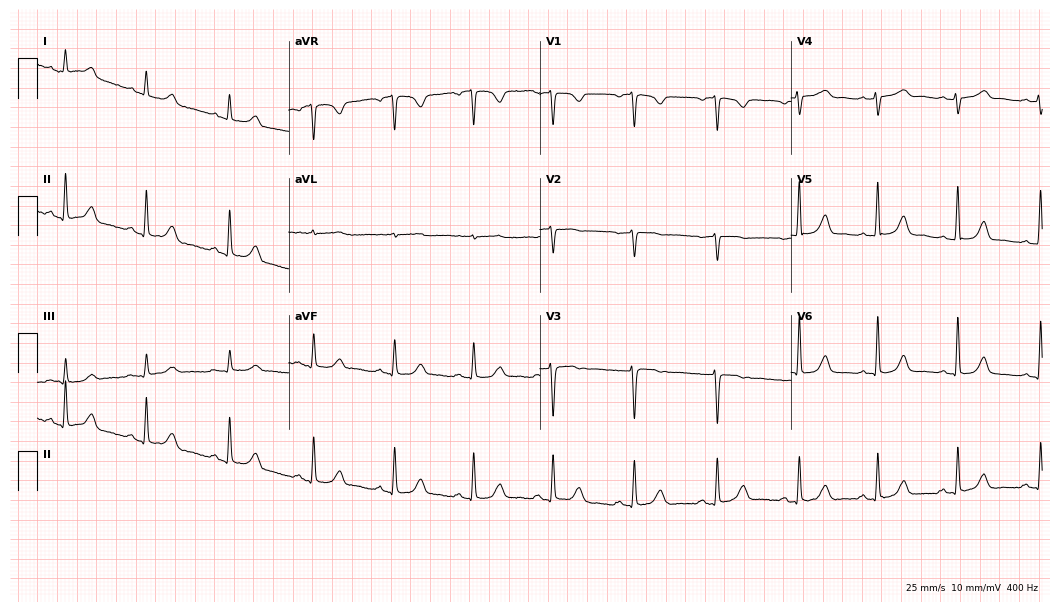
ECG (10.2-second recording at 400 Hz) — a female patient, 66 years old. Screened for six findings — first-degree AV block, right bundle branch block (RBBB), left bundle branch block (LBBB), sinus bradycardia, atrial fibrillation (AF), sinus tachycardia — none is recorded. Findings outside these six are not listed.